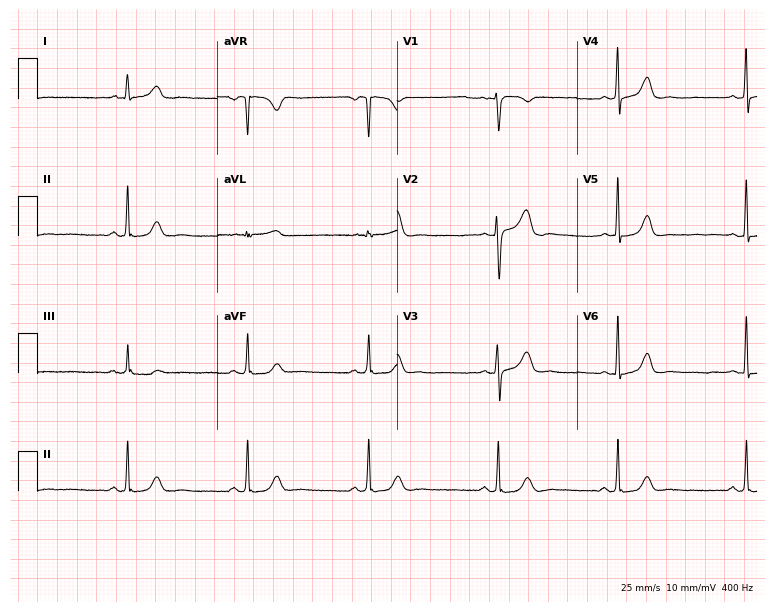
ECG — a 50-year-old woman. Findings include sinus bradycardia (a sinus rate of 50 beats per minute or less).